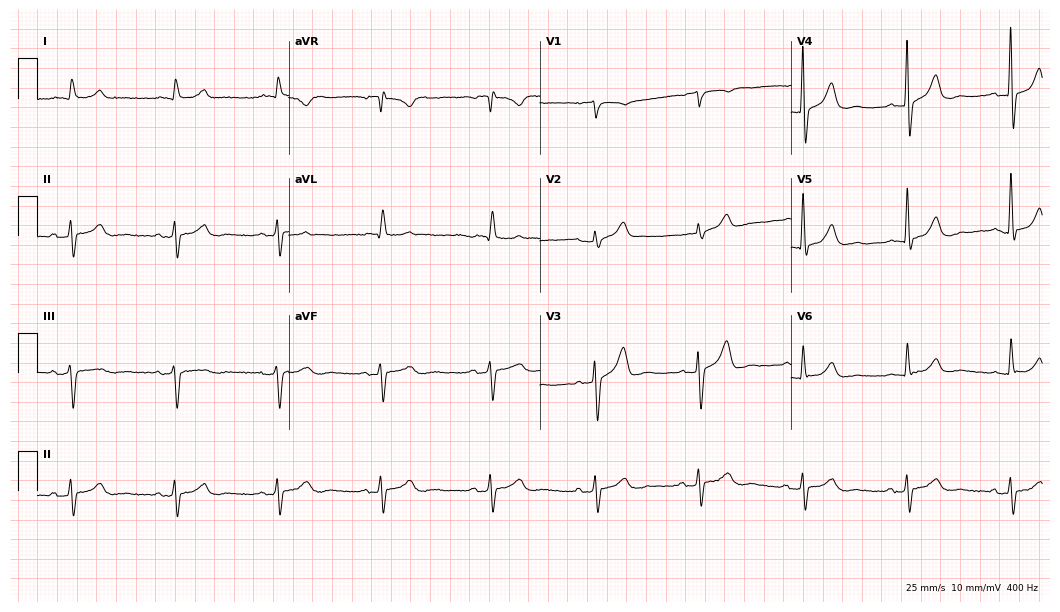
ECG — a 65-year-old male patient. Labelled as a normal ECG.